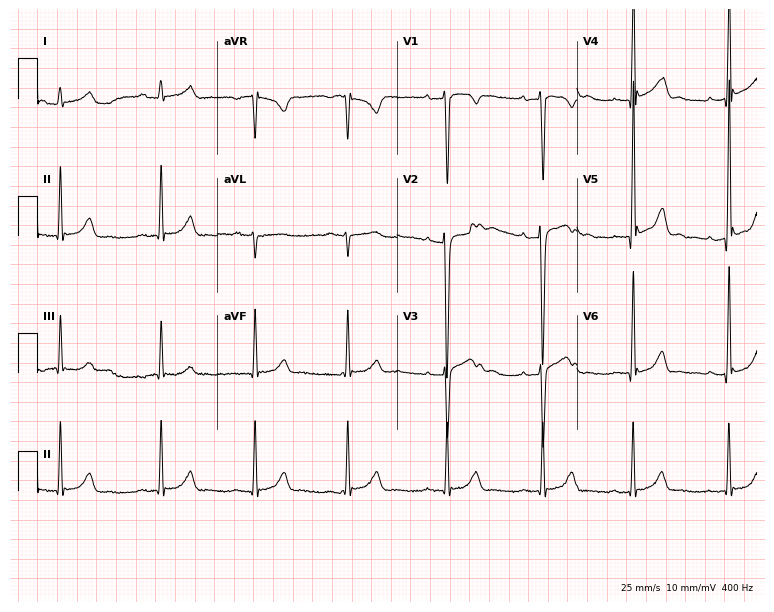
ECG — a man, 17 years old. Screened for six findings — first-degree AV block, right bundle branch block (RBBB), left bundle branch block (LBBB), sinus bradycardia, atrial fibrillation (AF), sinus tachycardia — none is recorded. Other findings, if any, are not listed.